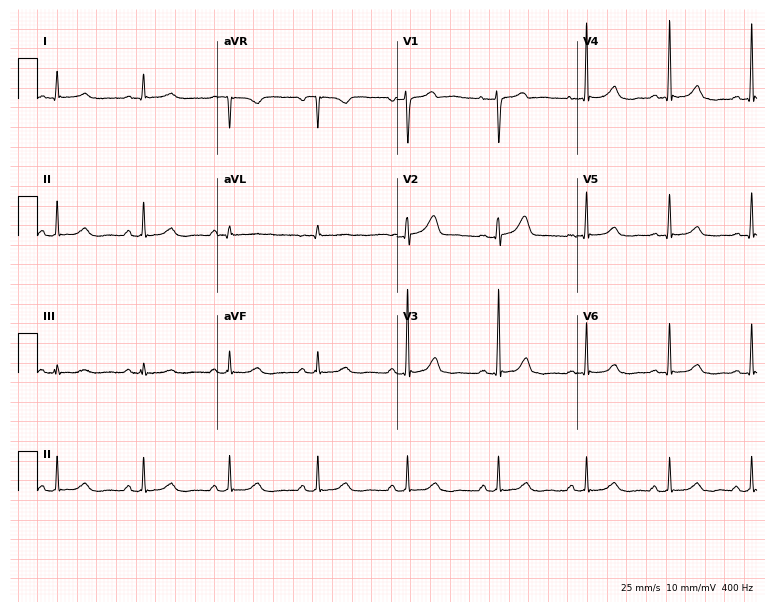
Resting 12-lead electrocardiogram. Patient: a female, 36 years old. Read as a normal ECG.